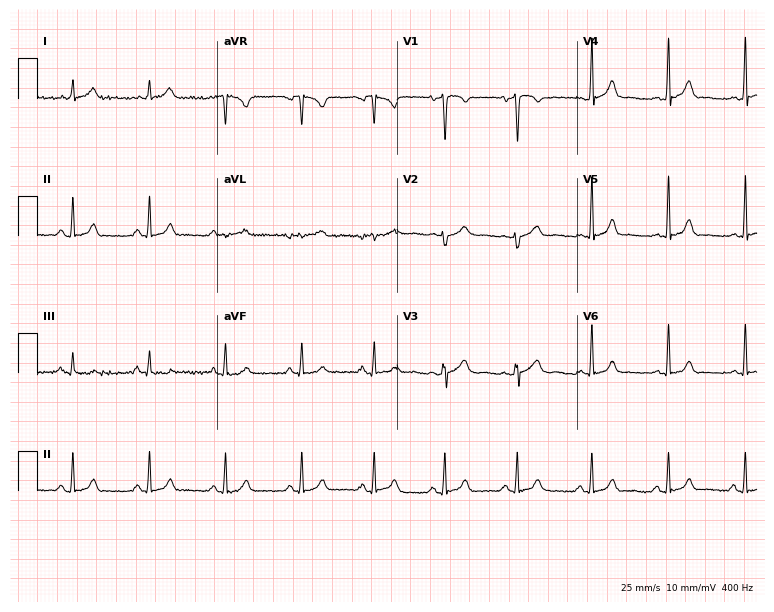
Standard 12-lead ECG recorded from a woman, 33 years old. Read as a normal ECG.